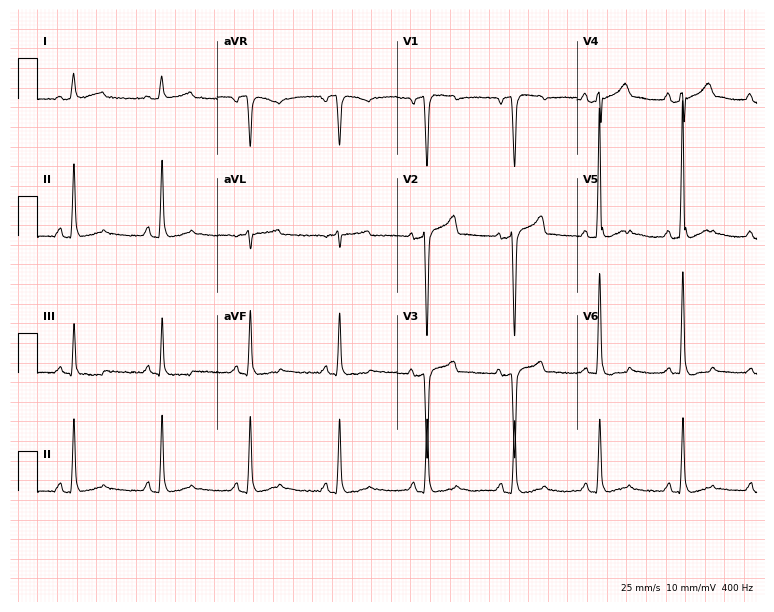
12-lead ECG (7.3-second recording at 400 Hz) from a male, 70 years old. Screened for six findings — first-degree AV block, right bundle branch block (RBBB), left bundle branch block (LBBB), sinus bradycardia, atrial fibrillation (AF), sinus tachycardia — none is recorded.